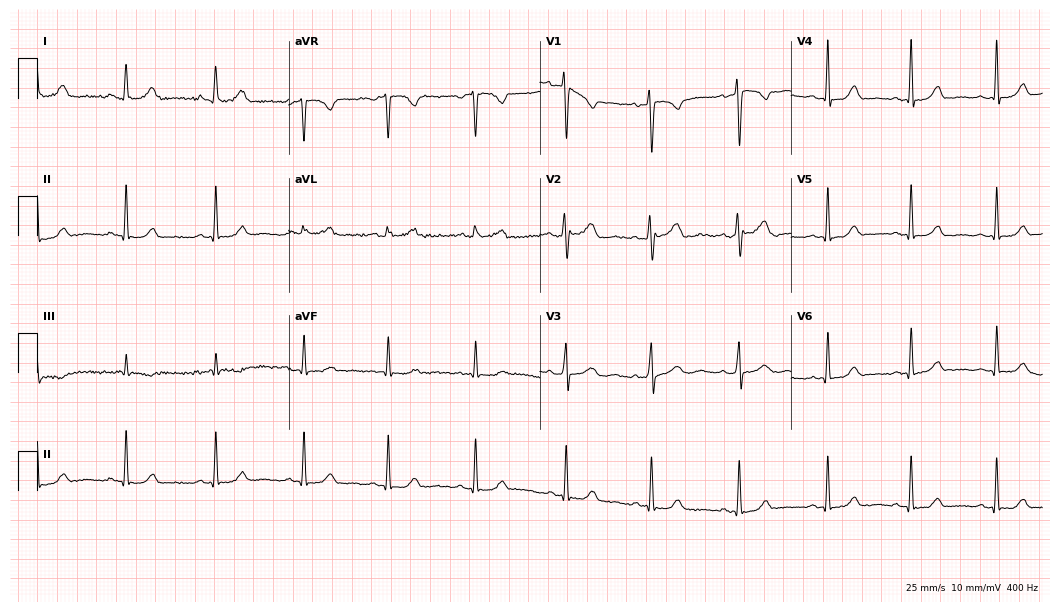
ECG (10.2-second recording at 400 Hz) — a 49-year-old woman. Labelled as a normal ECG.